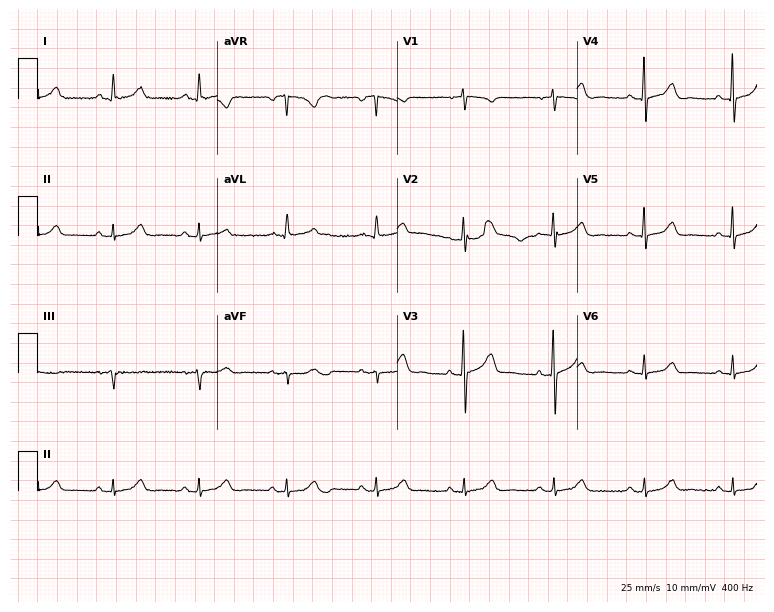
ECG (7.3-second recording at 400 Hz) — a 58-year-old female patient. Labelled as a normal ECG.